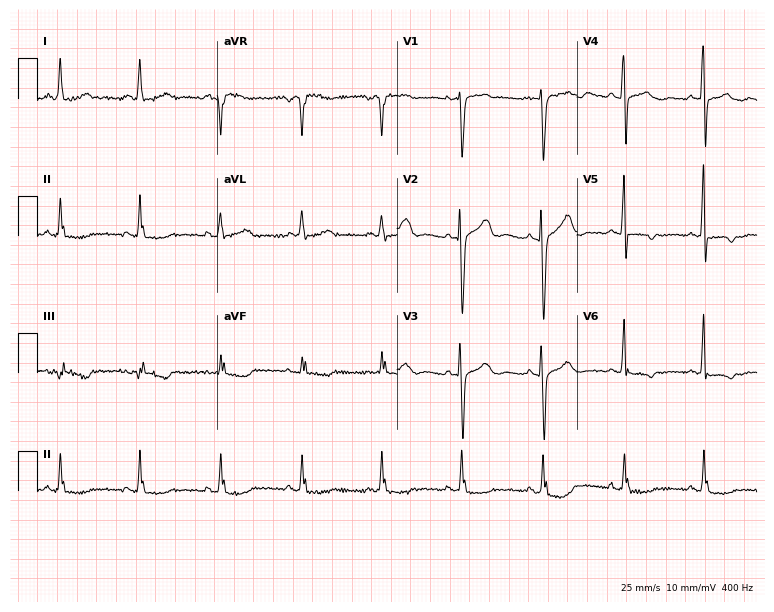
ECG (7.3-second recording at 400 Hz) — a 68-year-old female patient. Screened for six findings — first-degree AV block, right bundle branch block (RBBB), left bundle branch block (LBBB), sinus bradycardia, atrial fibrillation (AF), sinus tachycardia — none is recorded. Other findings, if any, are not listed.